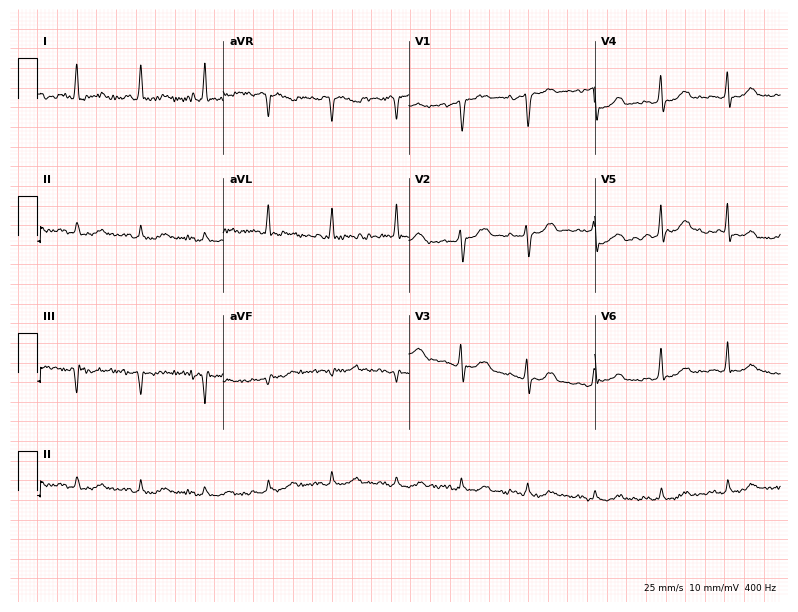
Standard 12-lead ECG recorded from a 75-year-old female. None of these six findings is recorded: first-degree AV block, right bundle branch block, left bundle branch block, sinus bradycardia, atrial fibrillation, sinus tachycardia. Only these six findings were labelled.